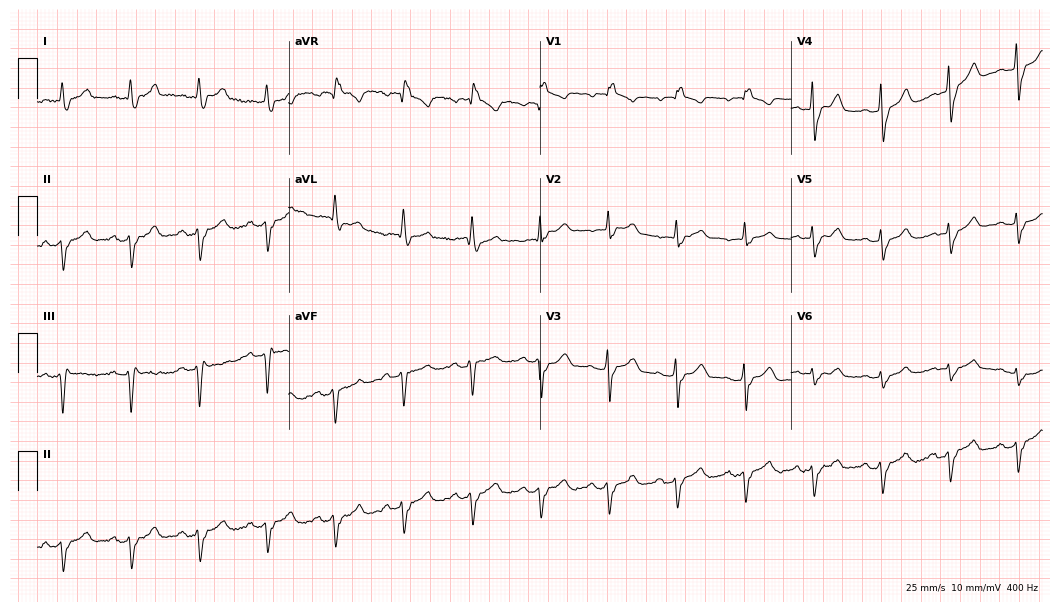
12-lead ECG (10.2-second recording at 400 Hz) from a 58-year-old female. Findings include right bundle branch block.